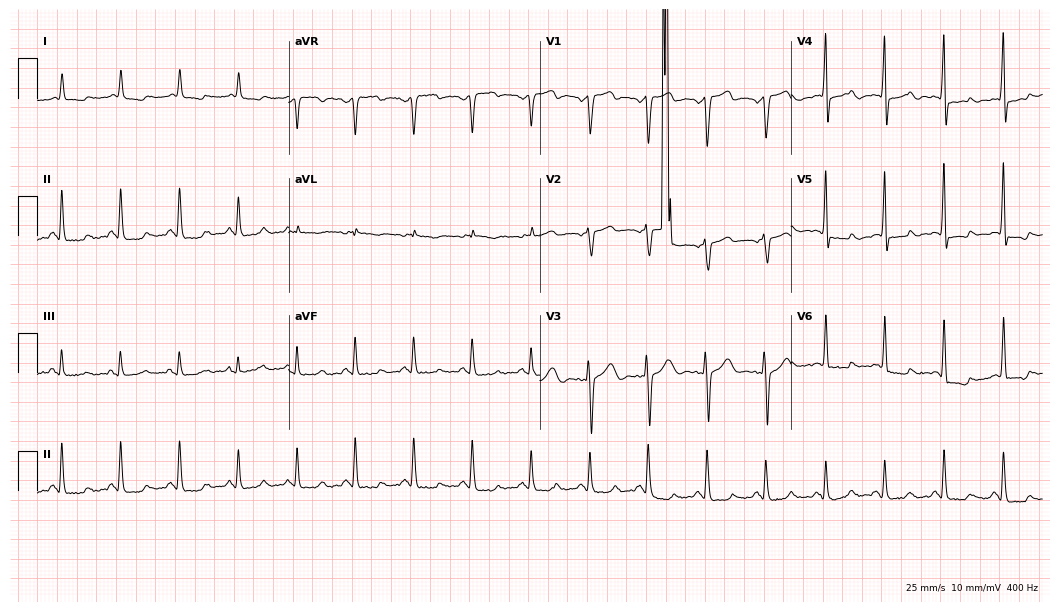
ECG — a 62-year-old male. Screened for six findings — first-degree AV block, right bundle branch block, left bundle branch block, sinus bradycardia, atrial fibrillation, sinus tachycardia — none is recorded. Only these six findings were labelled.